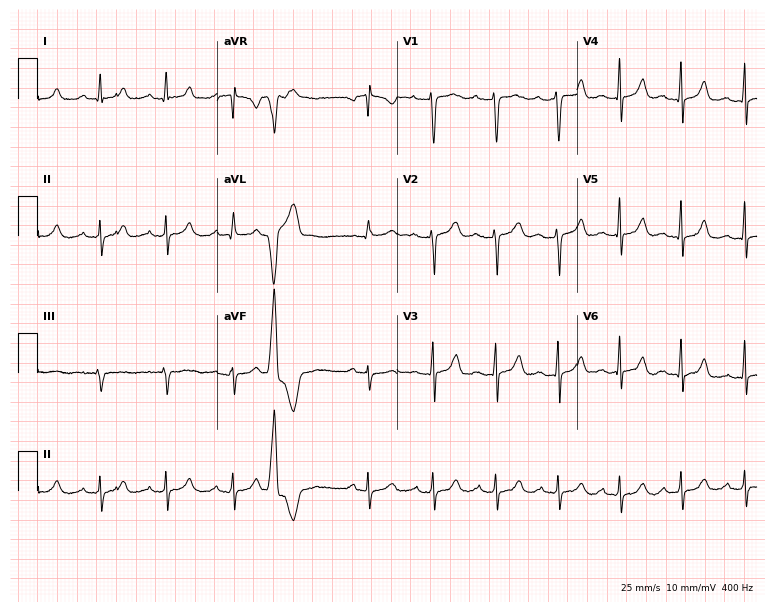
Electrocardiogram, a 21-year-old woman. Of the six screened findings (first-degree AV block, right bundle branch block (RBBB), left bundle branch block (LBBB), sinus bradycardia, atrial fibrillation (AF), sinus tachycardia), none is recorded. Only these six findings were labelled.